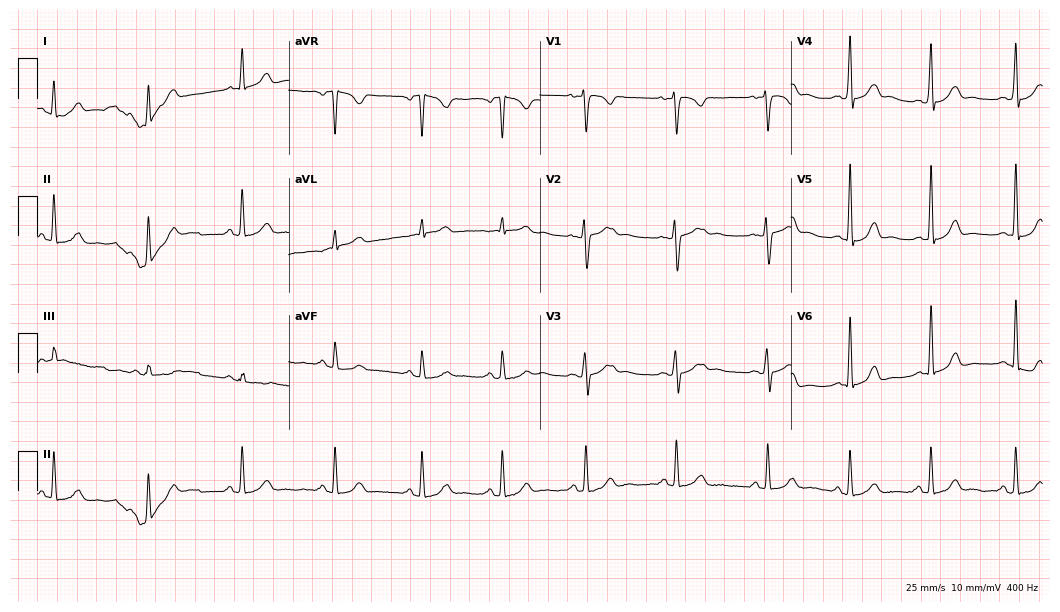
12-lead ECG (10.2-second recording at 400 Hz) from a female, 23 years old. Labelled as a normal ECG.